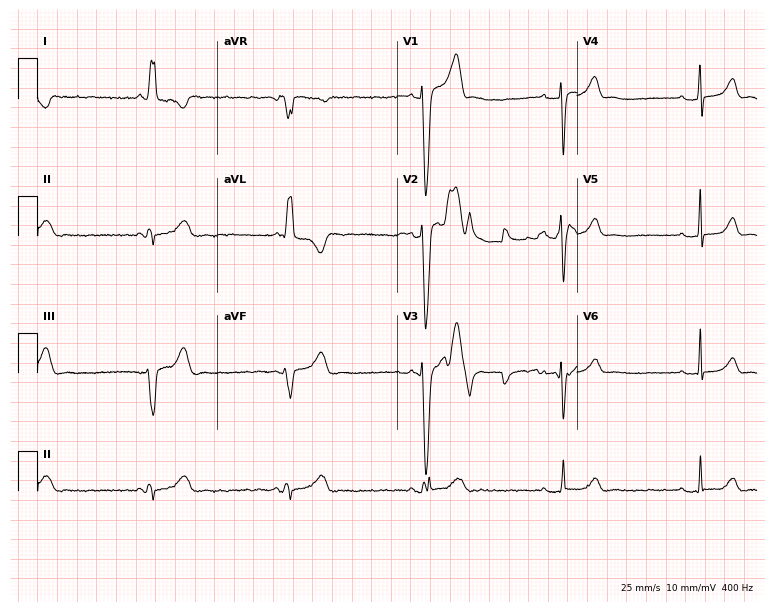
ECG (7.3-second recording at 400 Hz) — a 30-year-old woman. Screened for six findings — first-degree AV block, right bundle branch block (RBBB), left bundle branch block (LBBB), sinus bradycardia, atrial fibrillation (AF), sinus tachycardia — none is recorded. Other findings, if any, are not listed.